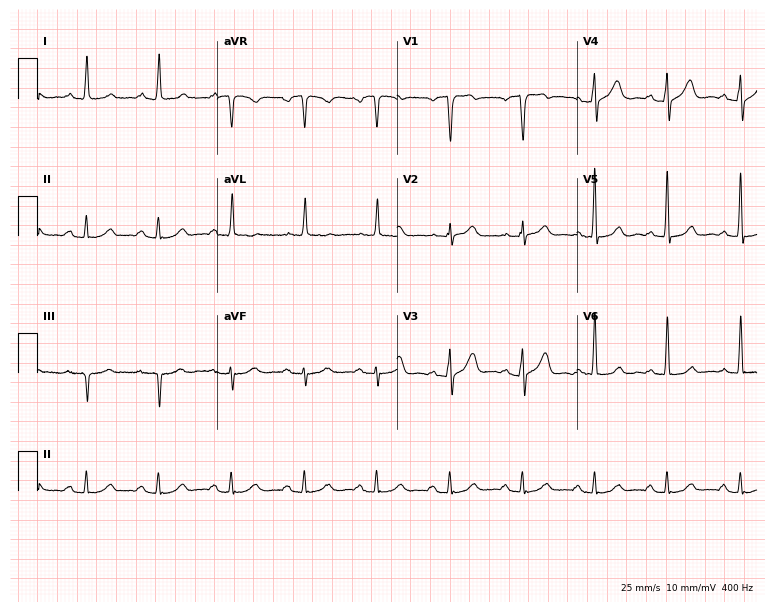
Standard 12-lead ECG recorded from a male, 67 years old. None of these six findings is recorded: first-degree AV block, right bundle branch block (RBBB), left bundle branch block (LBBB), sinus bradycardia, atrial fibrillation (AF), sinus tachycardia. Only these six findings were labelled.